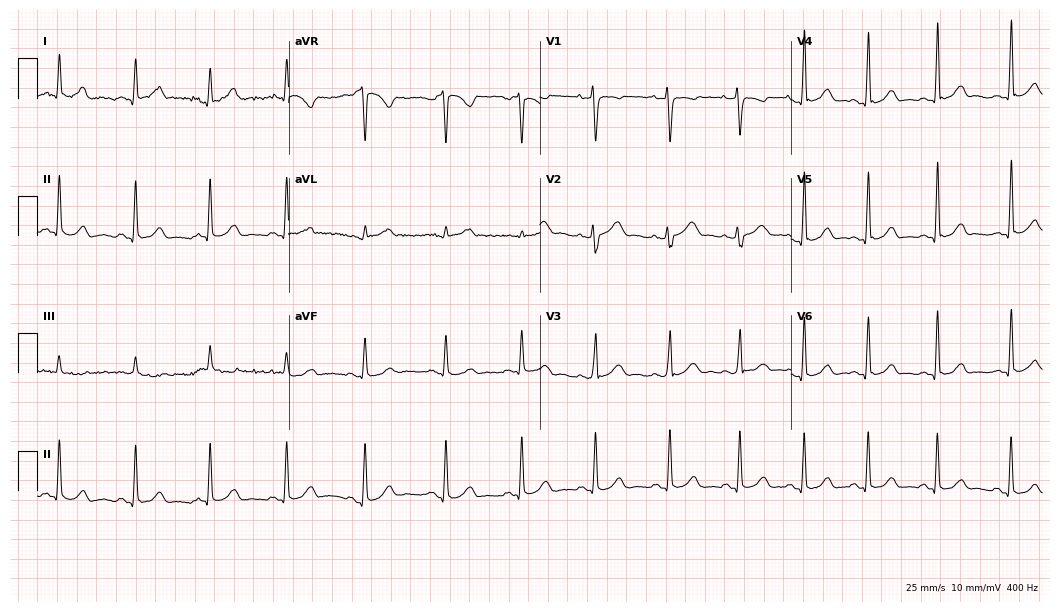
Resting 12-lead electrocardiogram (10.2-second recording at 400 Hz). Patient: a female, 33 years old. None of these six findings is recorded: first-degree AV block, right bundle branch block, left bundle branch block, sinus bradycardia, atrial fibrillation, sinus tachycardia.